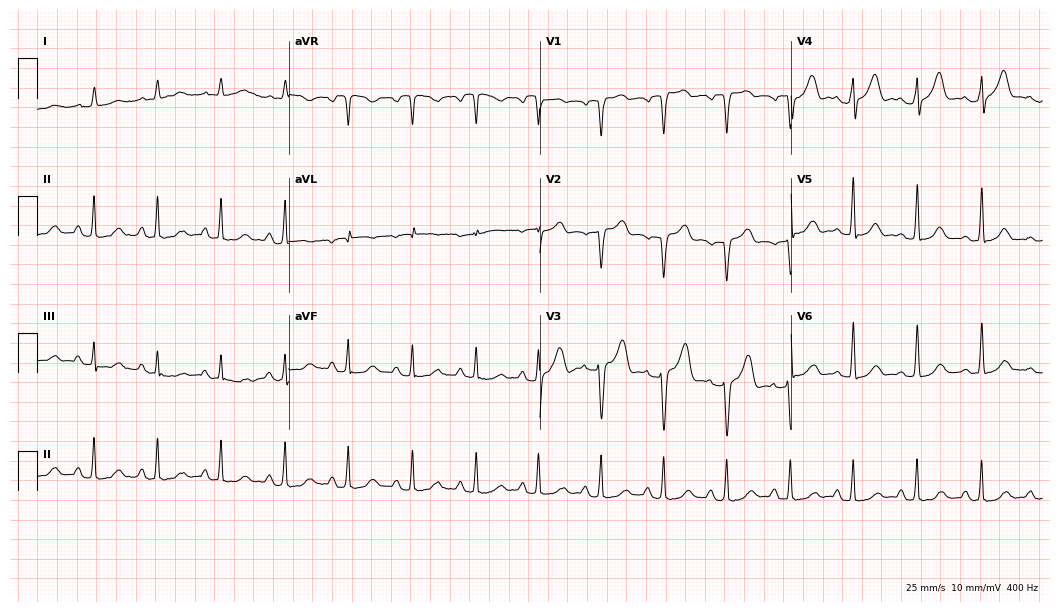
12-lead ECG from a 77-year-old woman. Labelled as a normal ECG.